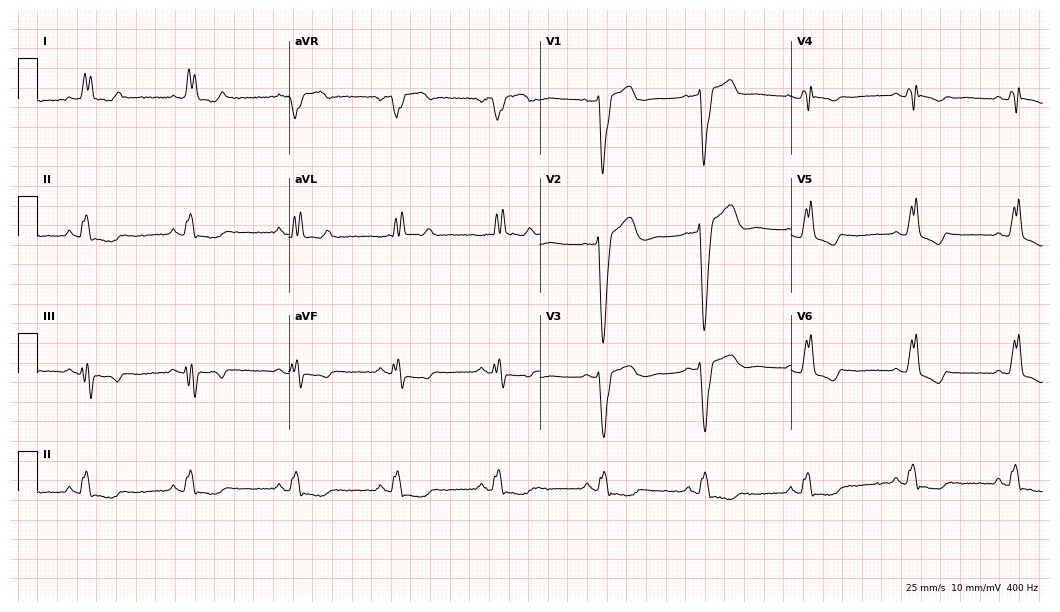
Electrocardiogram, a female patient, 71 years old. Interpretation includes left bundle branch block.